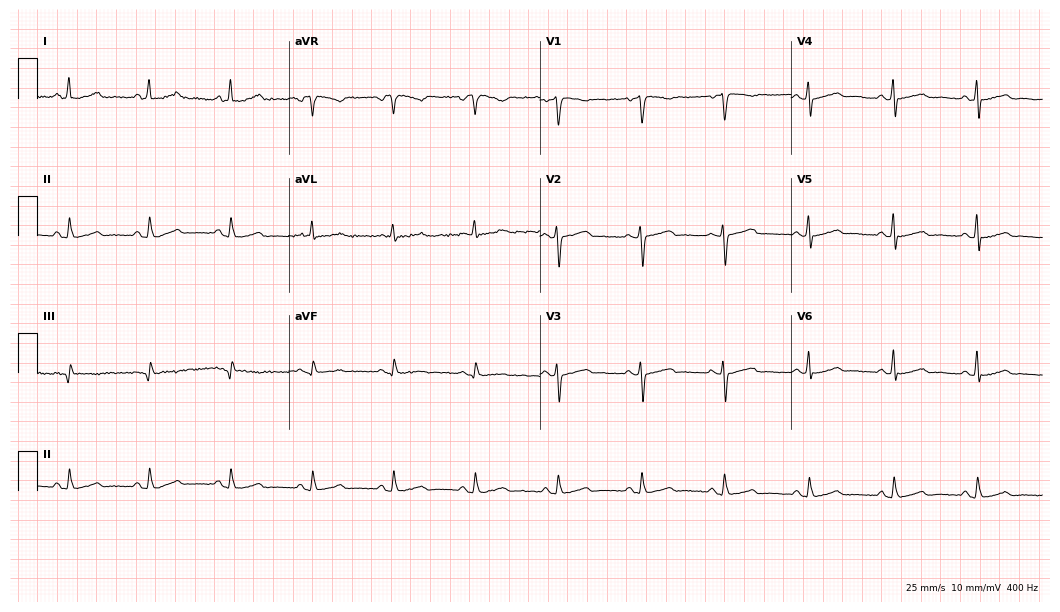
Electrocardiogram, a 43-year-old woman. Overall reading on record: normal ECG.